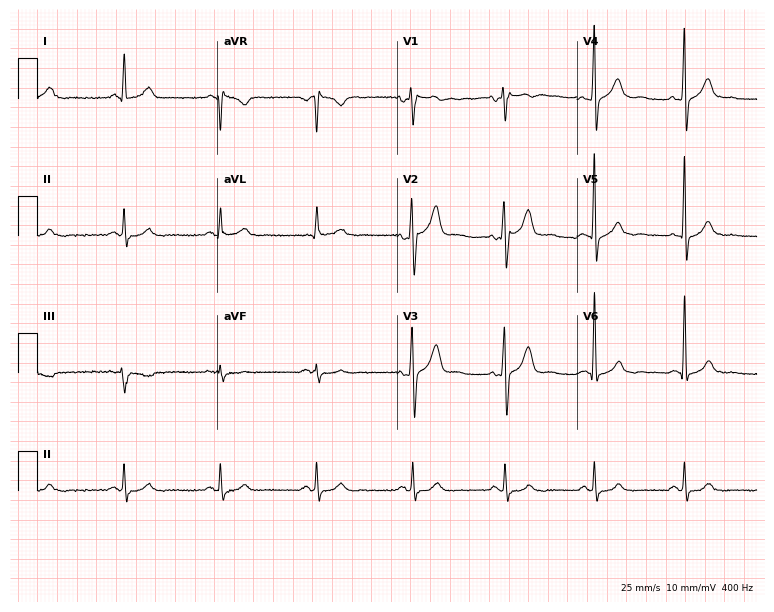
ECG — a 56-year-old man. Screened for six findings — first-degree AV block, right bundle branch block (RBBB), left bundle branch block (LBBB), sinus bradycardia, atrial fibrillation (AF), sinus tachycardia — none is recorded. Other findings, if any, are not listed.